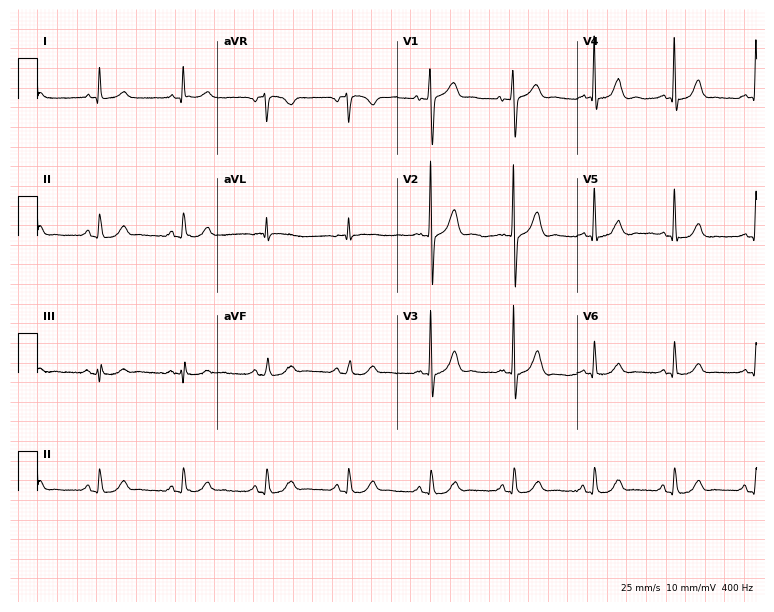
12-lead ECG from a 70-year-old man. No first-degree AV block, right bundle branch block (RBBB), left bundle branch block (LBBB), sinus bradycardia, atrial fibrillation (AF) or sinus tachycardia recorded for this tracing.